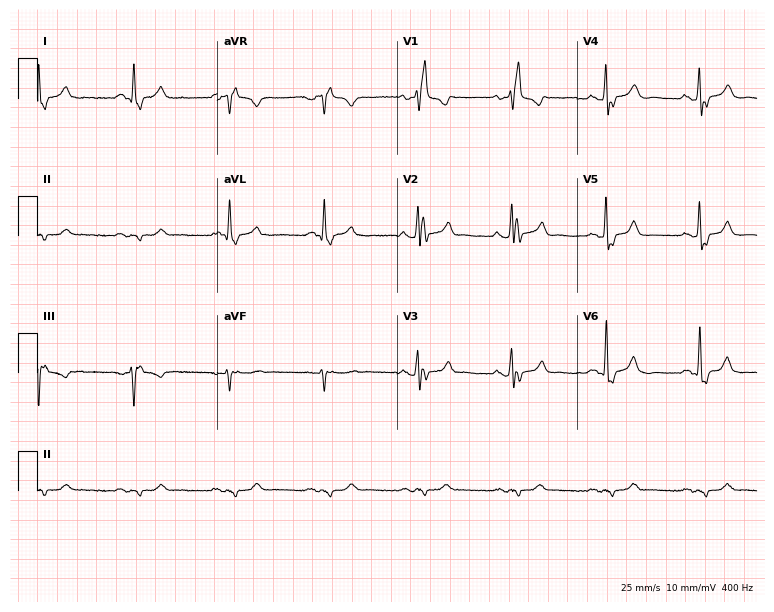
12-lead ECG from a 71-year-old man (7.3-second recording at 400 Hz). Shows right bundle branch block.